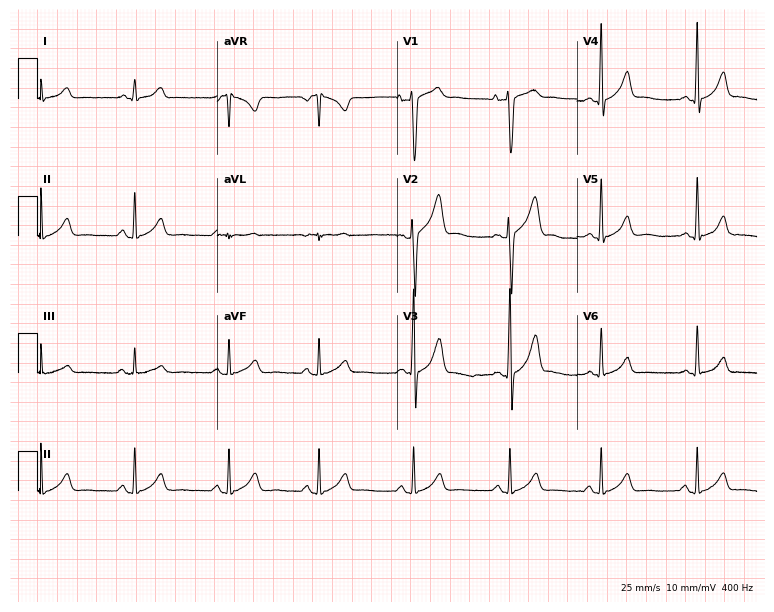
12-lead ECG from a male, 17 years old. Labelled as a normal ECG.